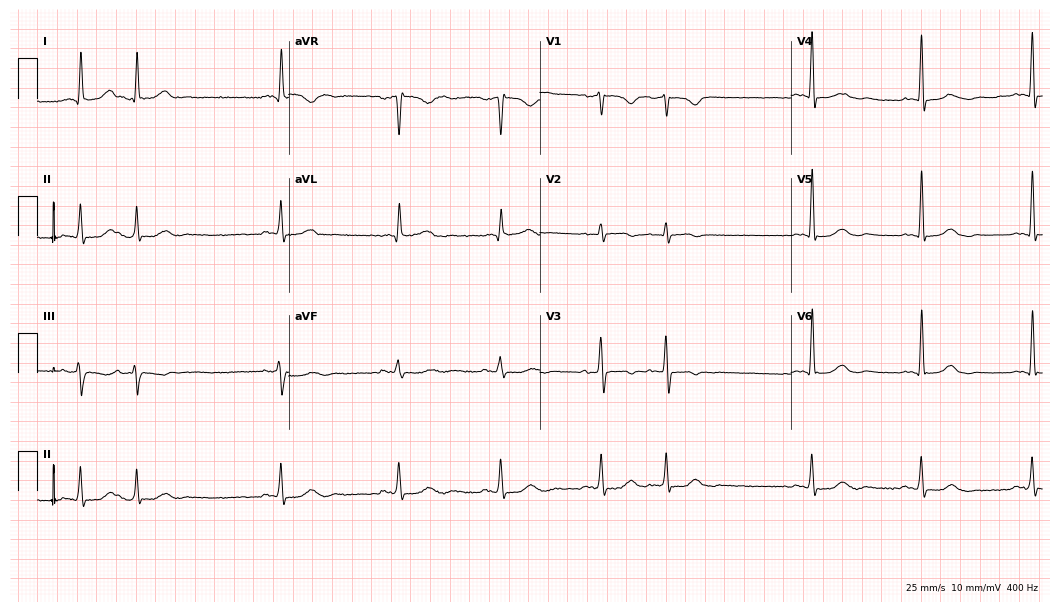
ECG (10.2-second recording at 400 Hz) — a 72-year-old female patient. Labelled as a normal ECG.